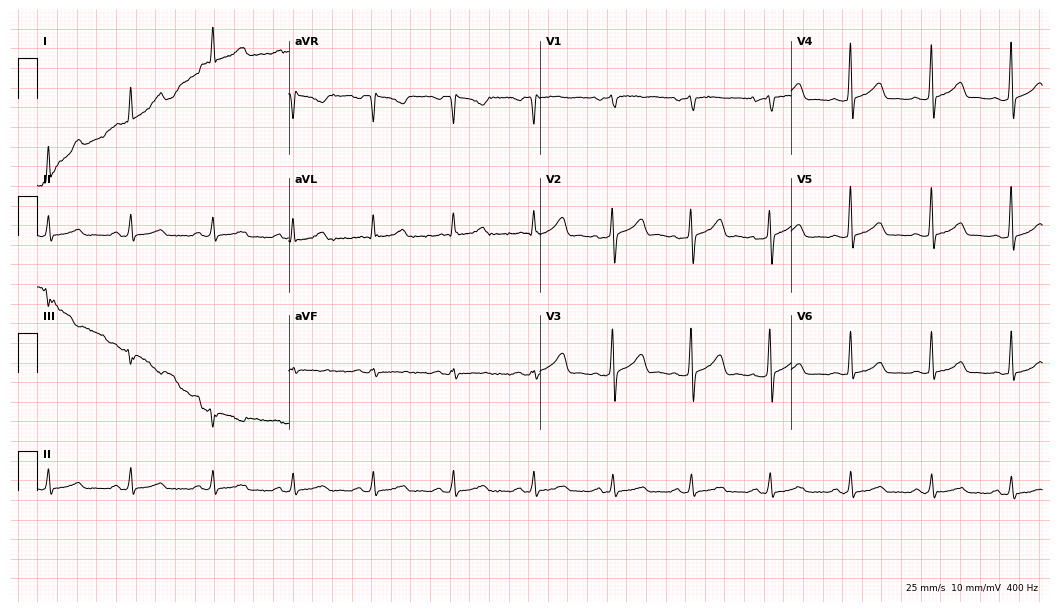
12-lead ECG from a 47-year-old male (10.2-second recording at 400 Hz). Recorded interpretation: within normal limits.